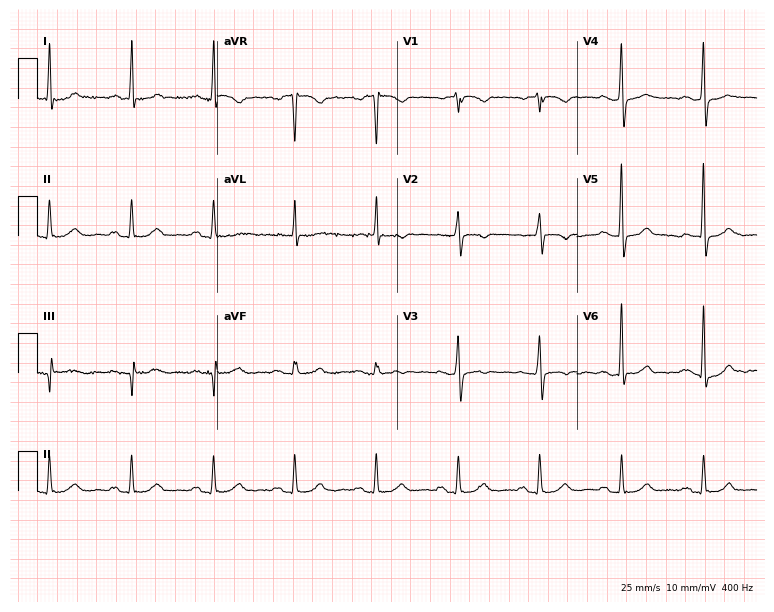
12-lead ECG (7.3-second recording at 400 Hz) from a woman, 74 years old. Screened for six findings — first-degree AV block, right bundle branch block, left bundle branch block, sinus bradycardia, atrial fibrillation, sinus tachycardia — none is recorded.